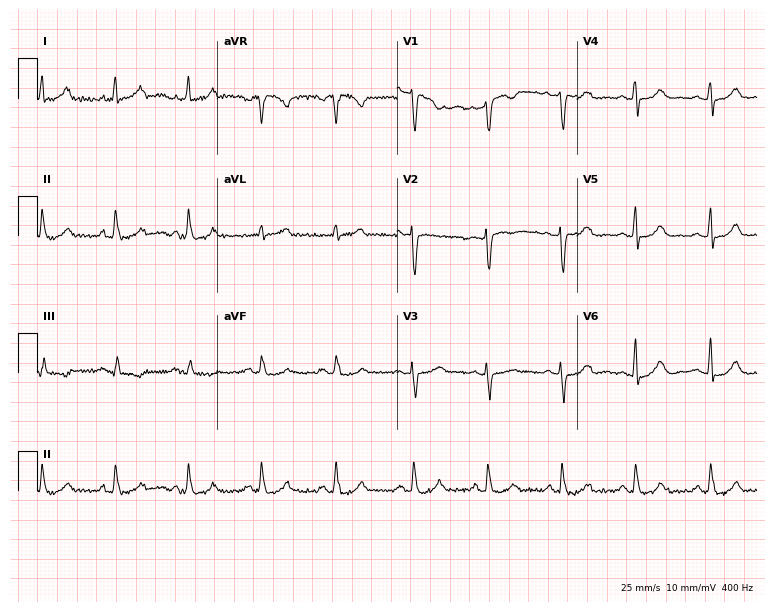
ECG (7.3-second recording at 400 Hz) — a female, 37 years old. Labelled as a normal ECG.